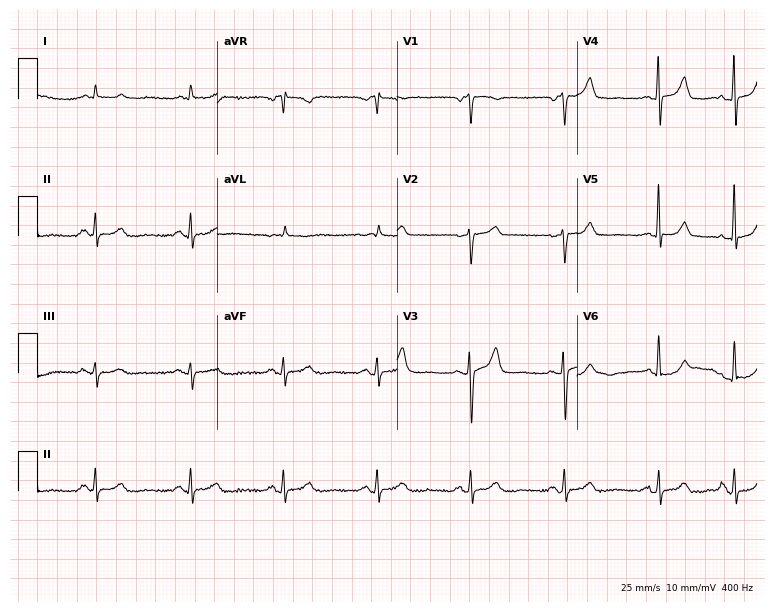
Electrocardiogram (7.3-second recording at 400 Hz), an 84-year-old female. Of the six screened findings (first-degree AV block, right bundle branch block (RBBB), left bundle branch block (LBBB), sinus bradycardia, atrial fibrillation (AF), sinus tachycardia), none is recorded. Only these six findings were labelled.